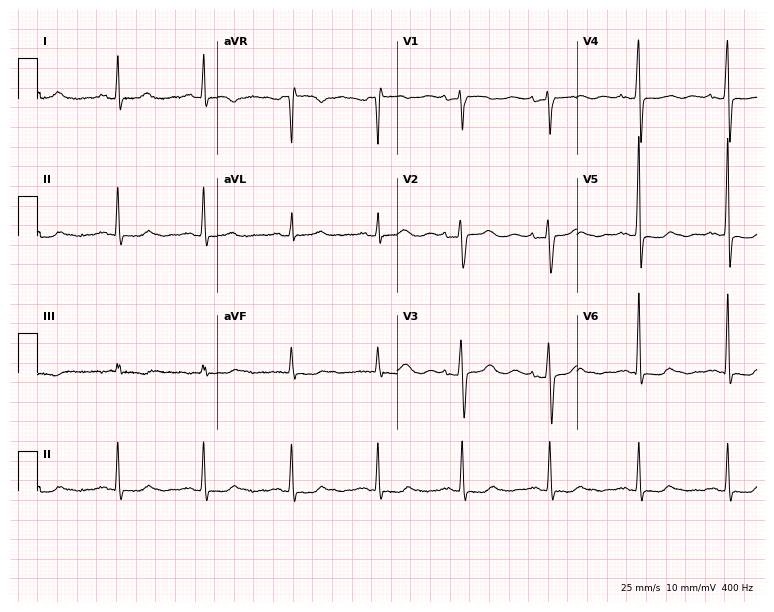
Resting 12-lead electrocardiogram (7.3-second recording at 400 Hz). Patient: a 55-year-old female. None of these six findings is recorded: first-degree AV block, right bundle branch block, left bundle branch block, sinus bradycardia, atrial fibrillation, sinus tachycardia. Only these six findings were labelled.